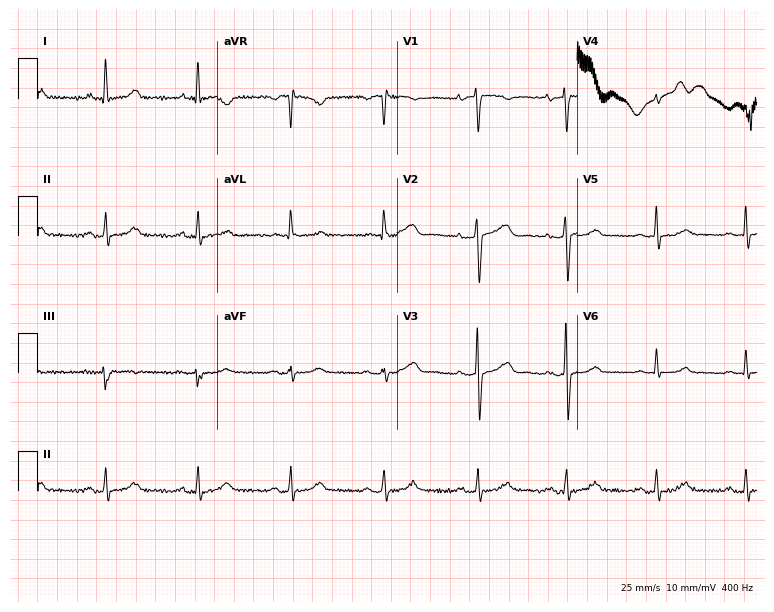
12-lead ECG from a 49-year-old woman (7.3-second recording at 400 Hz). No first-degree AV block, right bundle branch block (RBBB), left bundle branch block (LBBB), sinus bradycardia, atrial fibrillation (AF) or sinus tachycardia recorded for this tracing. Only these six findings were labelled.